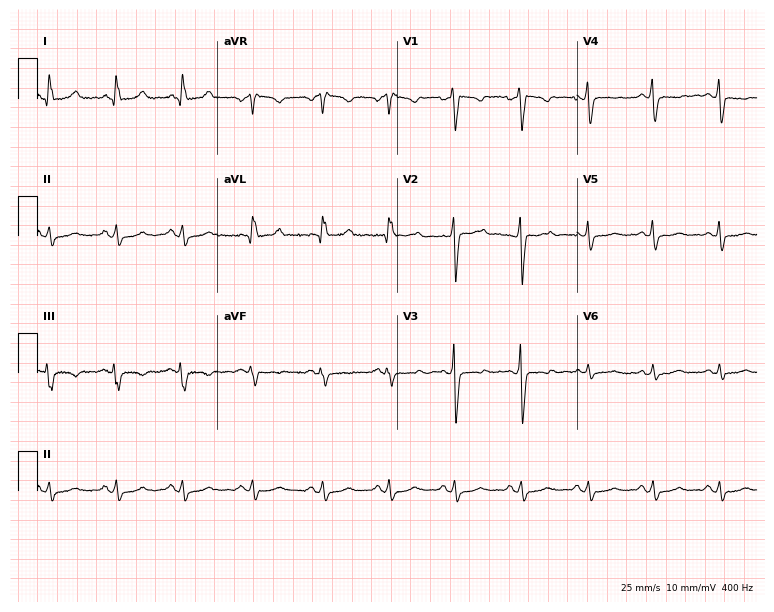
Standard 12-lead ECG recorded from a 39-year-old female patient (7.3-second recording at 400 Hz). None of these six findings is recorded: first-degree AV block, right bundle branch block, left bundle branch block, sinus bradycardia, atrial fibrillation, sinus tachycardia.